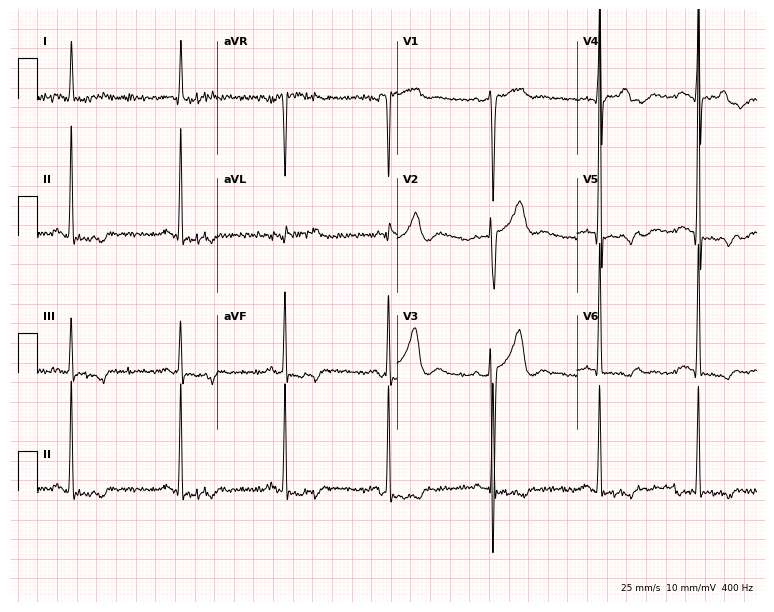
ECG — a male patient, 60 years old. Labelled as a normal ECG.